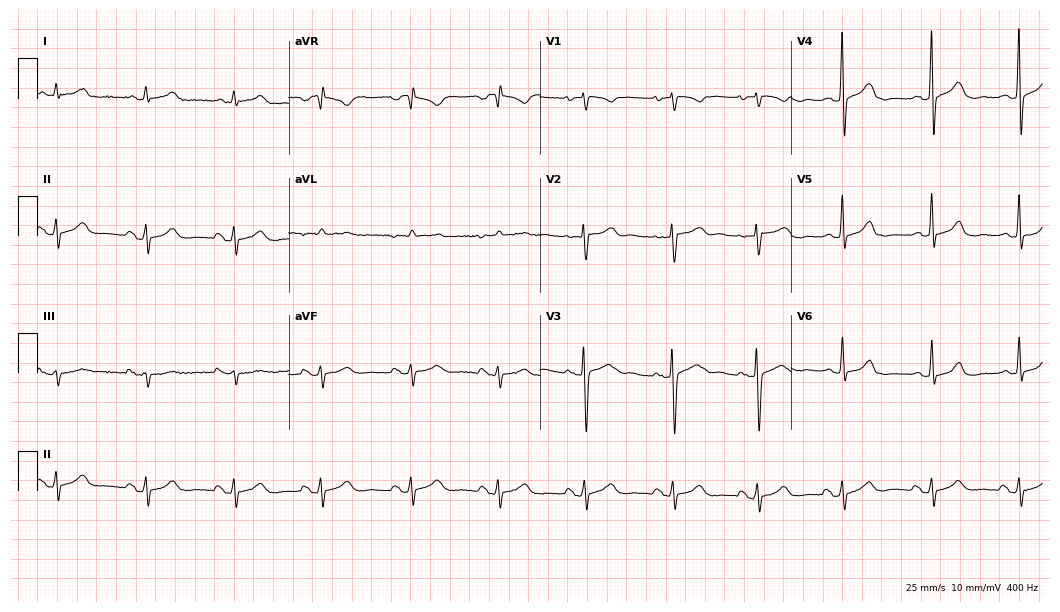
12-lead ECG from a 45-year-old woman (10.2-second recording at 400 Hz). No first-degree AV block, right bundle branch block, left bundle branch block, sinus bradycardia, atrial fibrillation or sinus tachycardia recorded for this tracing. Only these six findings were labelled.